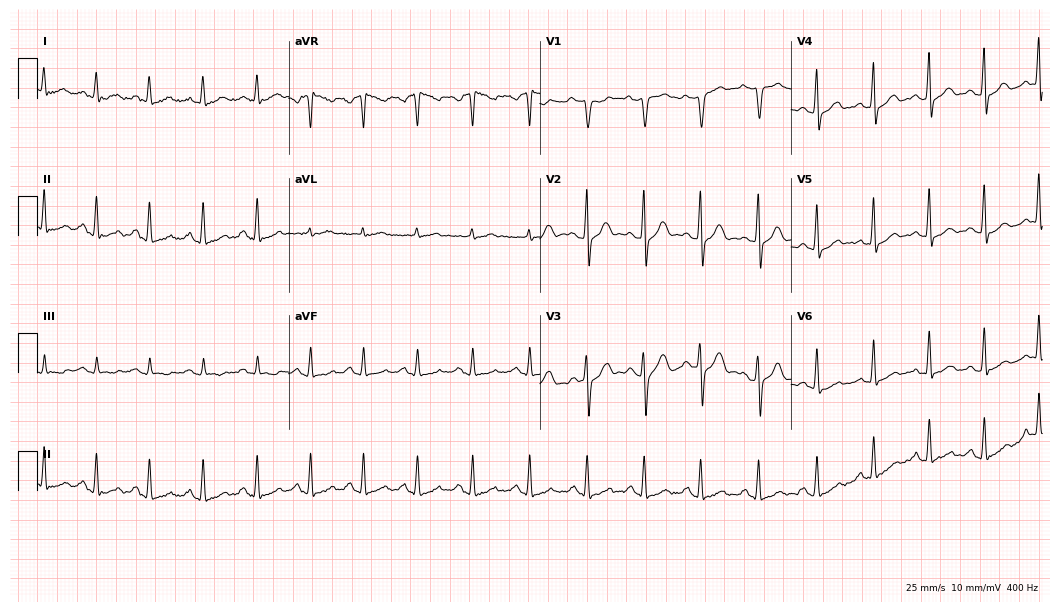
ECG (10.2-second recording at 400 Hz) — a male, 40 years old. Screened for six findings — first-degree AV block, right bundle branch block (RBBB), left bundle branch block (LBBB), sinus bradycardia, atrial fibrillation (AF), sinus tachycardia — none is recorded. Findings outside these six are not listed.